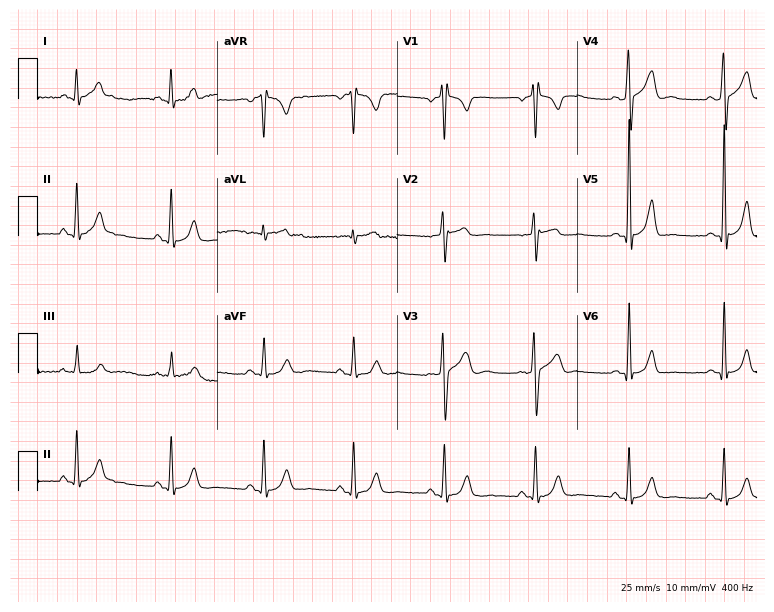
Standard 12-lead ECG recorded from a man, 46 years old (7.3-second recording at 400 Hz). None of these six findings is recorded: first-degree AV block, right bundle branch block, left bundle branch block, sinus bradycardia, atrial fibrillation, sinus tachycardia.